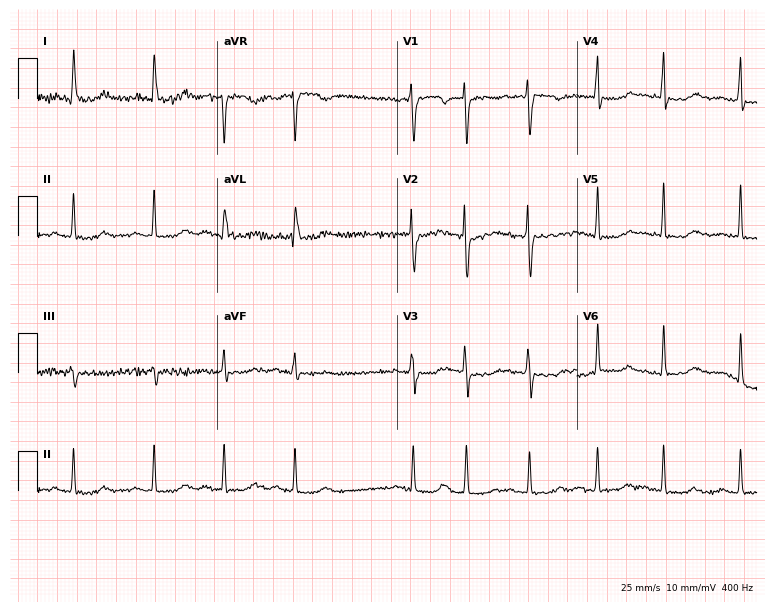
12-lead ECG from a woman, 67 years old (7.3-second recording at 400 Hz). No first-degree AV block, right bundle branch block, left bundle branch block, sinus bradycardia, atrial fibrillation or sinus tachycardia recorded for this tracing. Other findings, if any, are not listed.